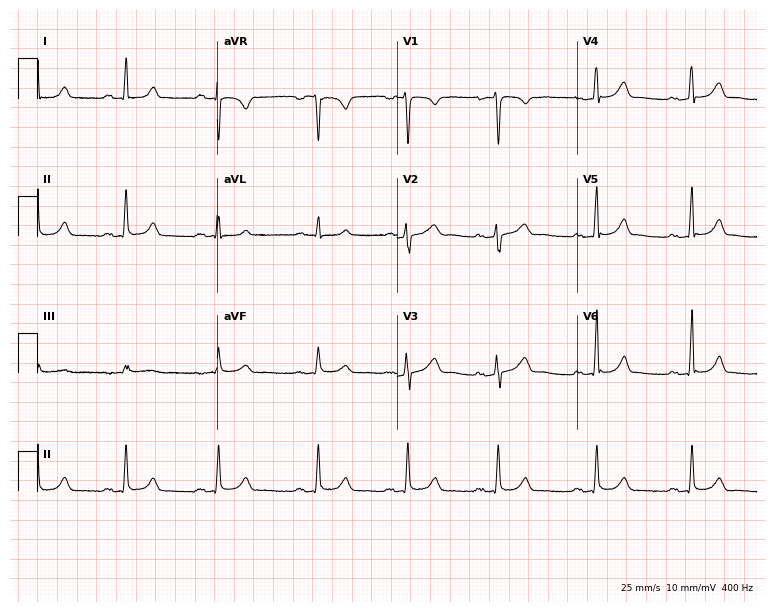
Resting 12-lead electrocardiogram (7.3-second recording at 400 Hz). Patient: a female, 31 years old. Read as a normal ECG.